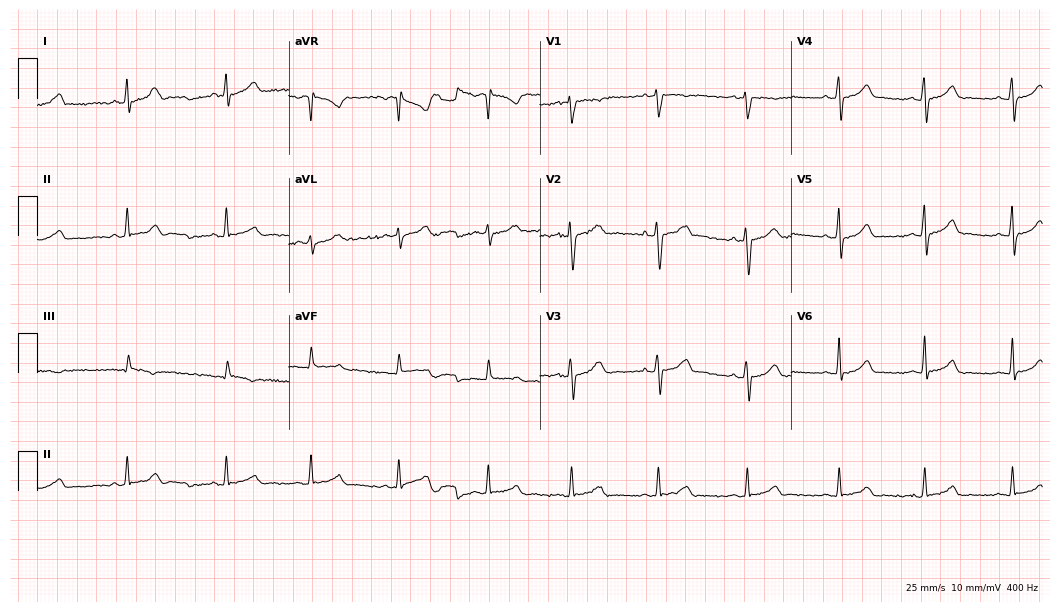
Standard 12-lead ECG recorded from a 29-year-old woman. Read as a normal ECG.